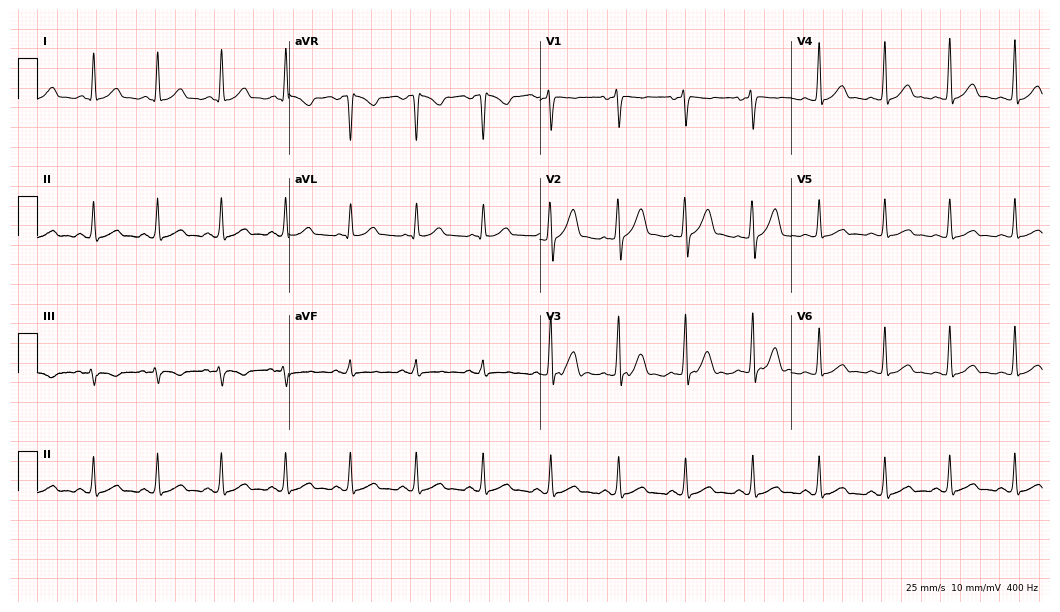
Electrocardiogram (10.2-second recording at 400 Hz), a male, 36 years old. Overall reading on record: normal ECG.